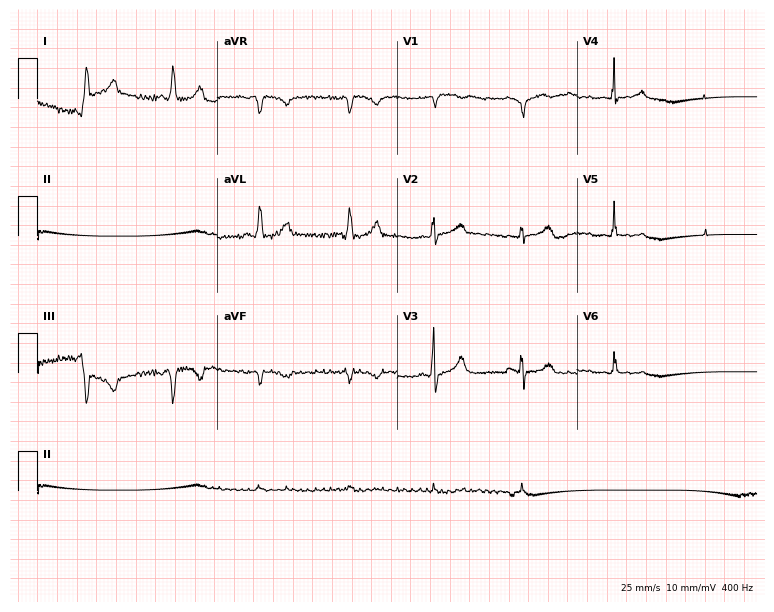
Electrocardiogram, a woman, 62 years old. Of the six screened findings (first-degree AV block, right bundle branch block, left bundle branch block, sinus bradycardia, atrial fibrillation, sinus tachycardia), none is recorded.